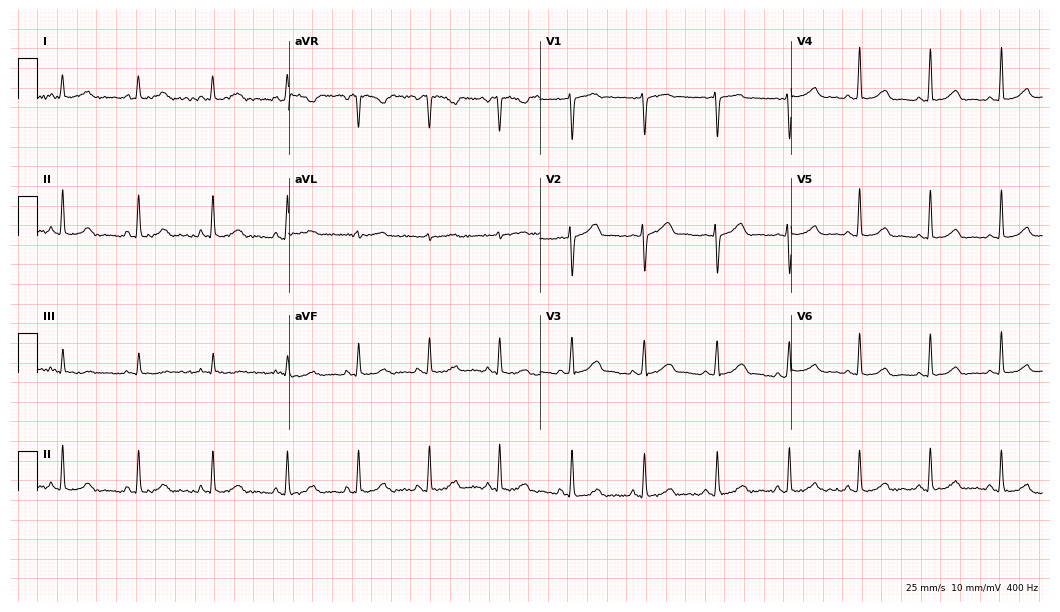
12-lead ECG from a woman, 42 years old. Recorded interpretation: within normal limits.